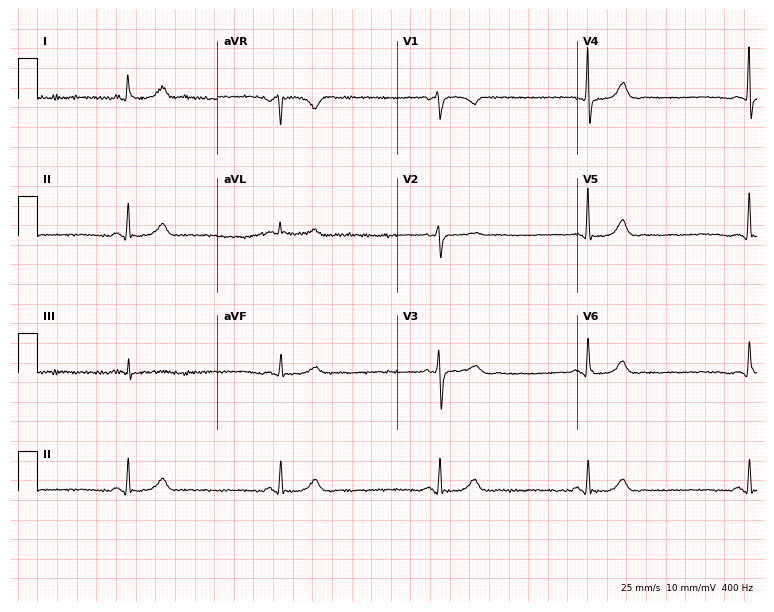
Resting 12-lead electrocardiogram (7.3-second recording at 400 Hz). Patient: a female, 65 years old. The tracing shows atrial fibrillation.